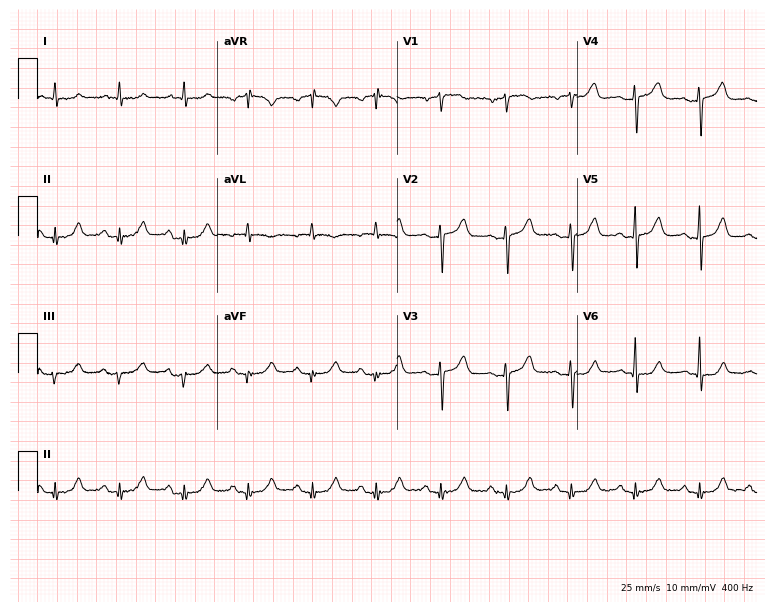
Standard 12-lead ECG recorded from a man, 74 years old (7.3-second recording at 400 Hz). None of these six findings is recorded: first-degree AV block, right bundle branch block, left bundle branch block, sinus bradycardia, atrial fibrillation, sinus tachycardia.